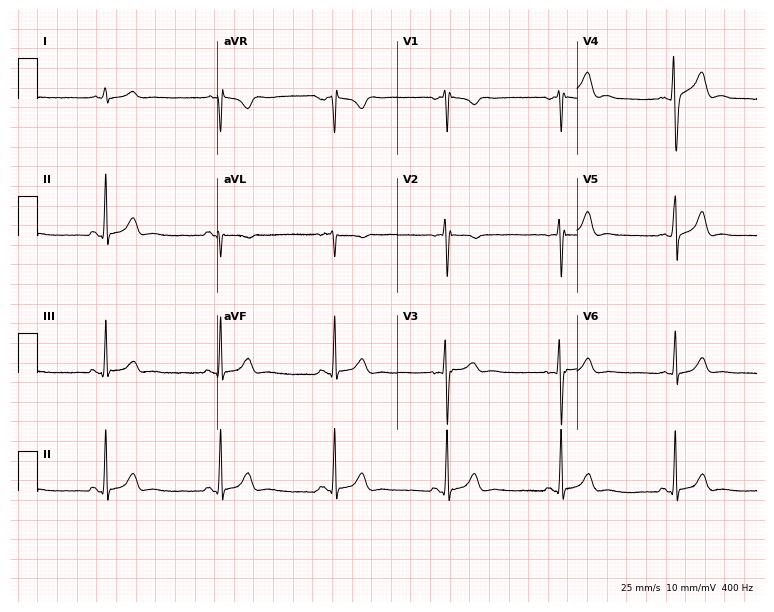
Standard 12-lead ECG recorded from a 22-year-old male patient. Read as a normal ECG.